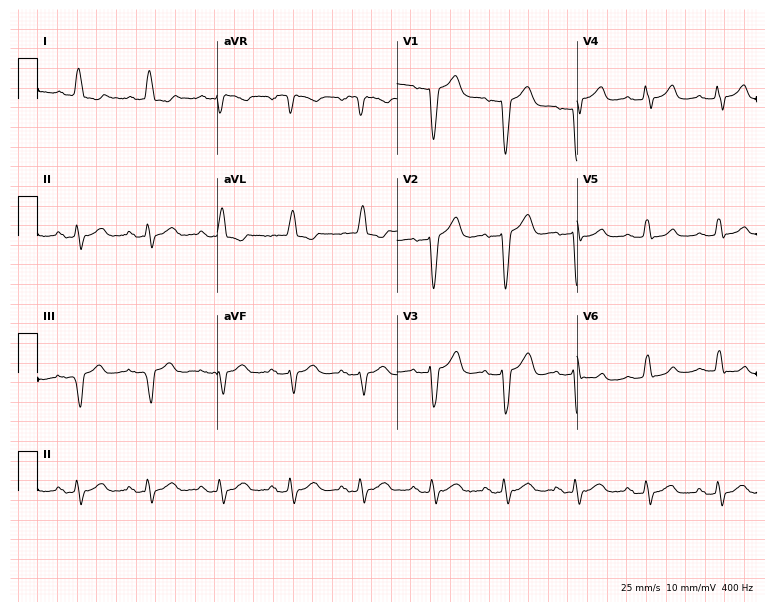
Electrocardiogram, a 78-year-old female. Of the six screened findings (first-degree AV block, right bundle branch block, left bundle branch block, sinus bradycardia, atrial fibrillation, sinus tachycardia), none is recorded.